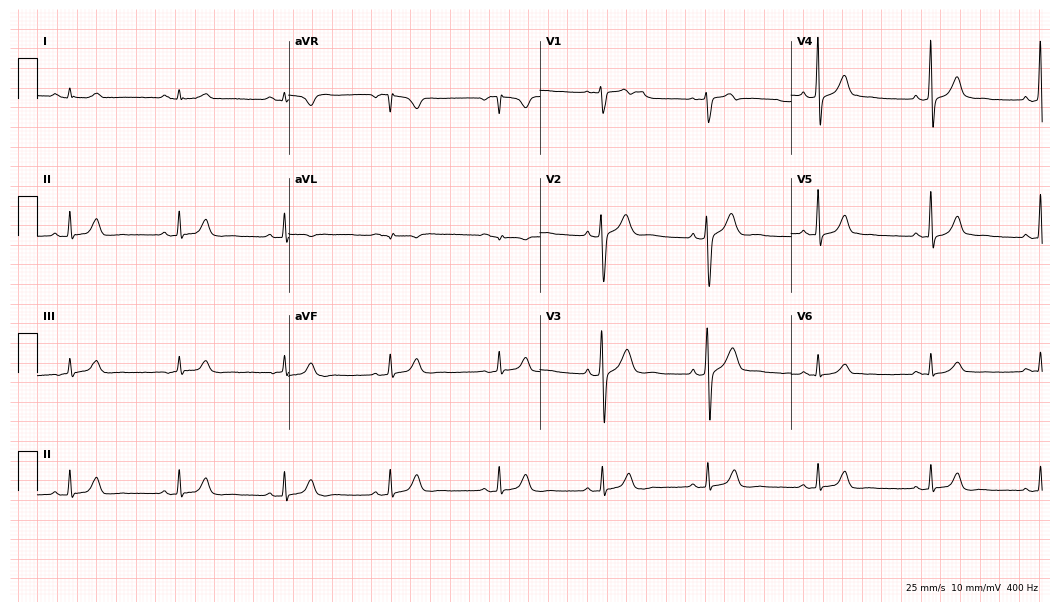
Resting 12-lead electrocardiogram. Patient: a male, 33 years old. Read as a normal ECG.